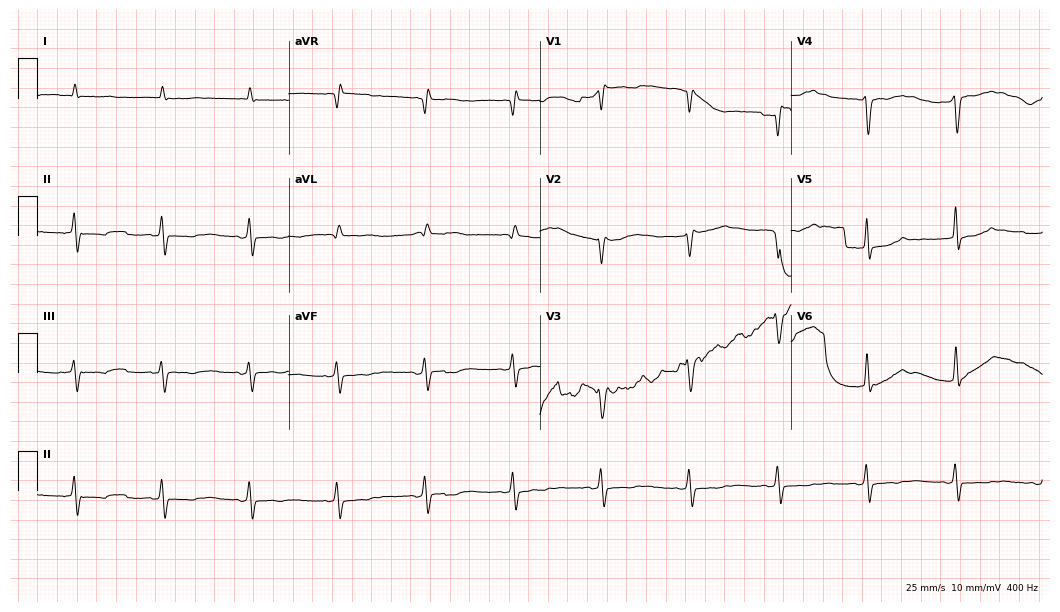
Standard 12-lead ECG recorded from an 85-year-old man. None of these six findings is recorded: first-degree AV block, right bundle branch block, left bundle branch block, sinus bradycardia, atrial fibrillation, sinus tachycardia.